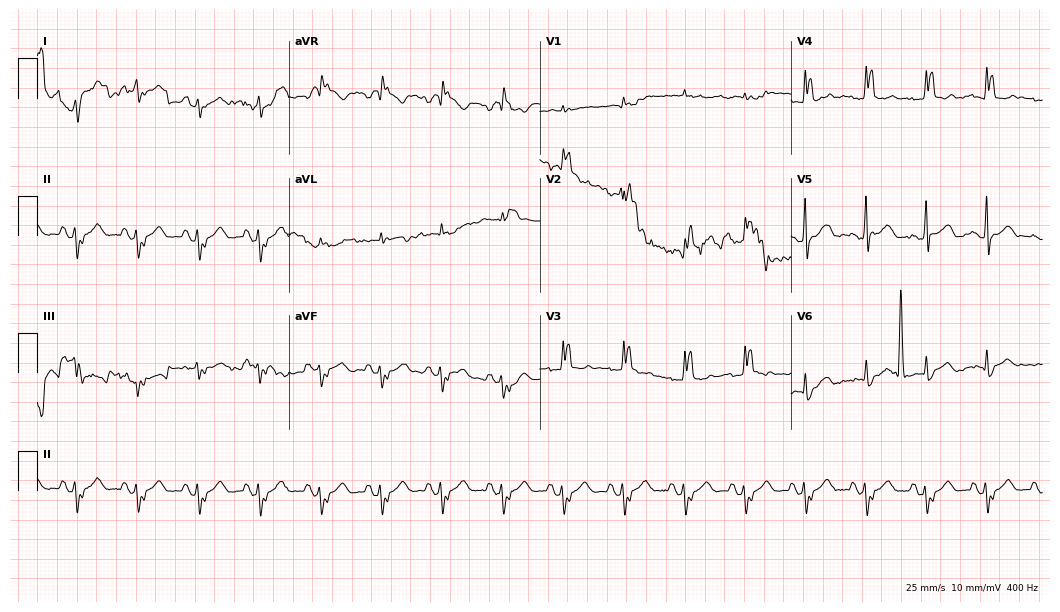
12-lead ECG from an 84-year-old man (10.2-second recording at 400 Hz). No first-degree AV block, right bundle branch block (RBBB), left bundle branch block (LBBB), sinus bradycardia, atrial fibrillation (AF) or sinus tachycardia recorded for this tracing. Only these six findings were labelled.